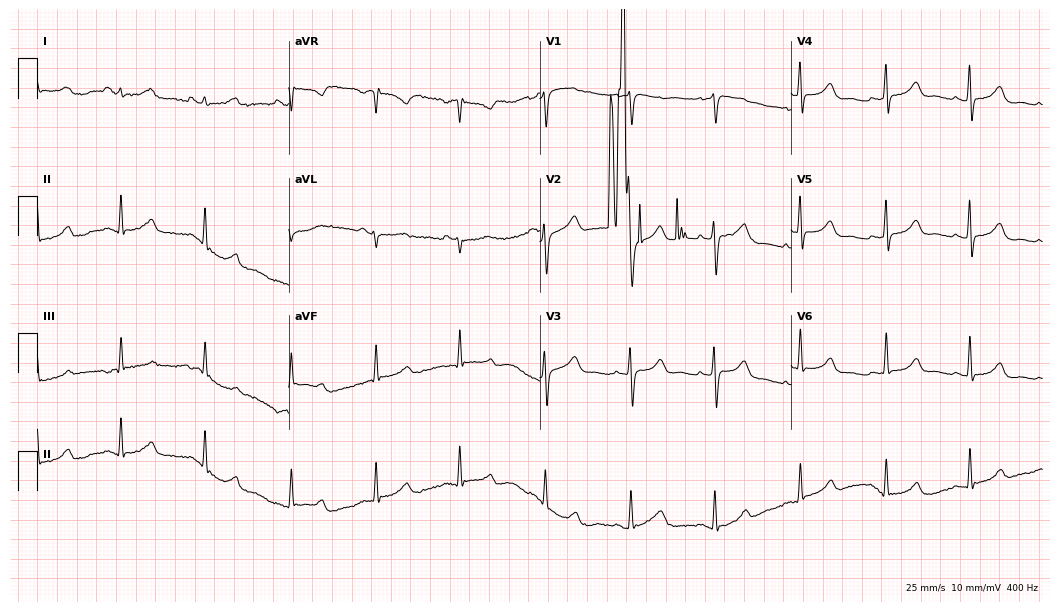
Resting 12-lead electrocardiogram. Patient: a female, 56 years old. Read as a normal ECG.